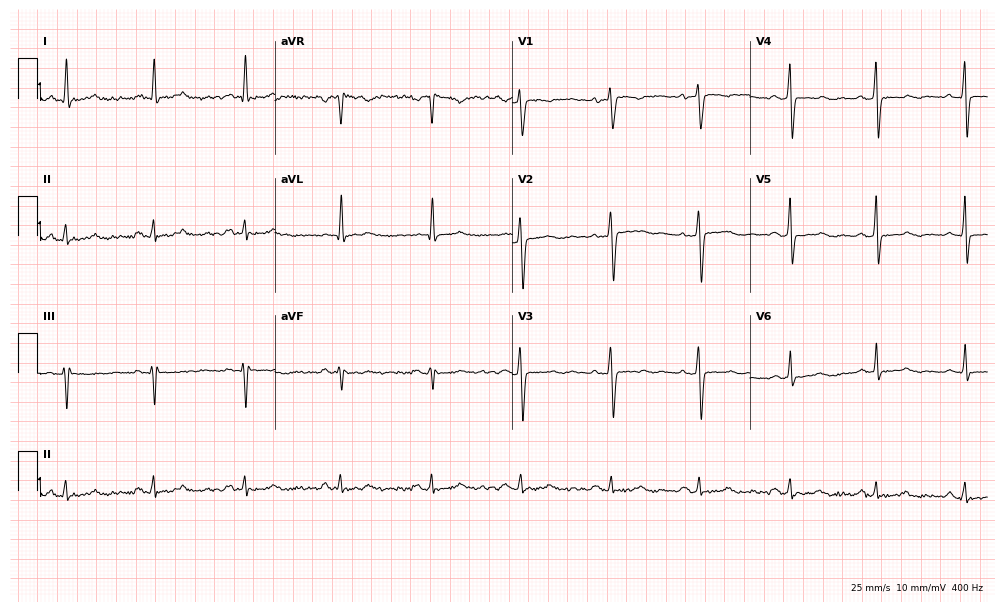
Standard 12-lead ECG recorded from a female patient, 48 years old. Read as a normal ECG.